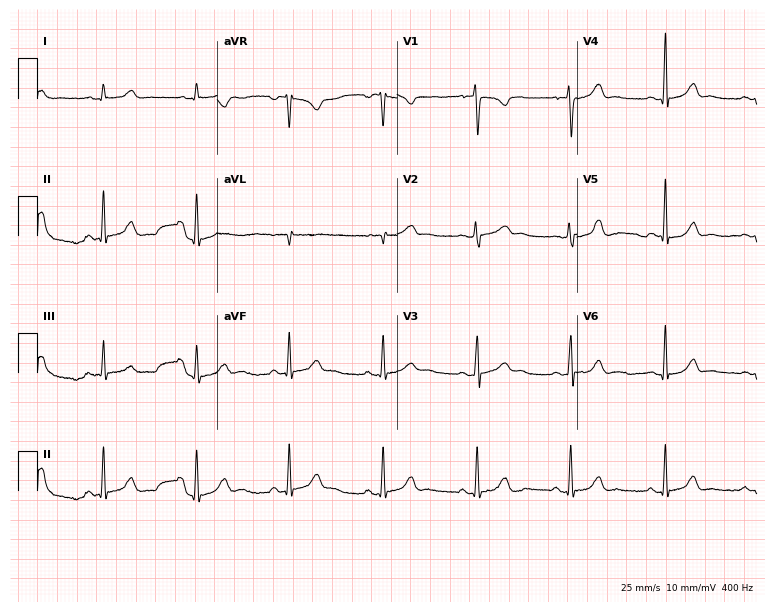
12-lead ECG from a woman, 43 years old. Recorded interpretation: within normal limits.